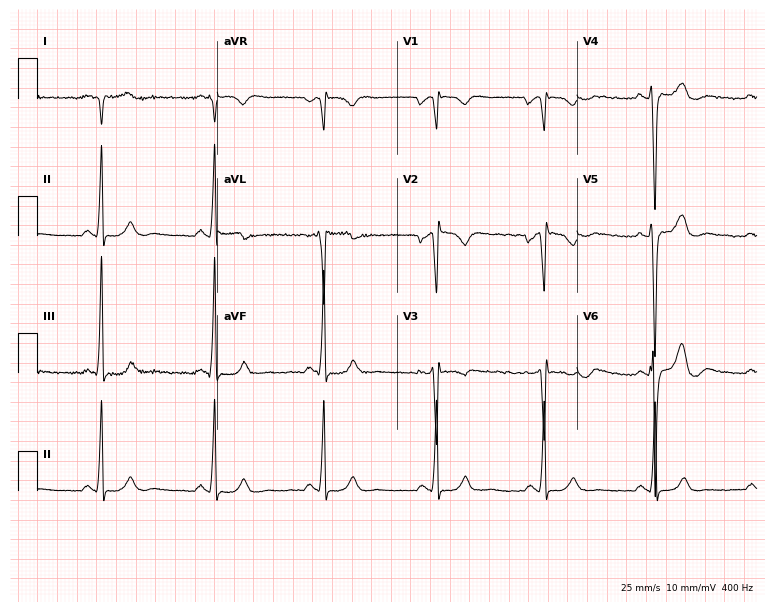
Electrocardiogram (7.3-second recording at 400 Hz), a male patient, 36 years old. Interpretation includes right bundle branch block.